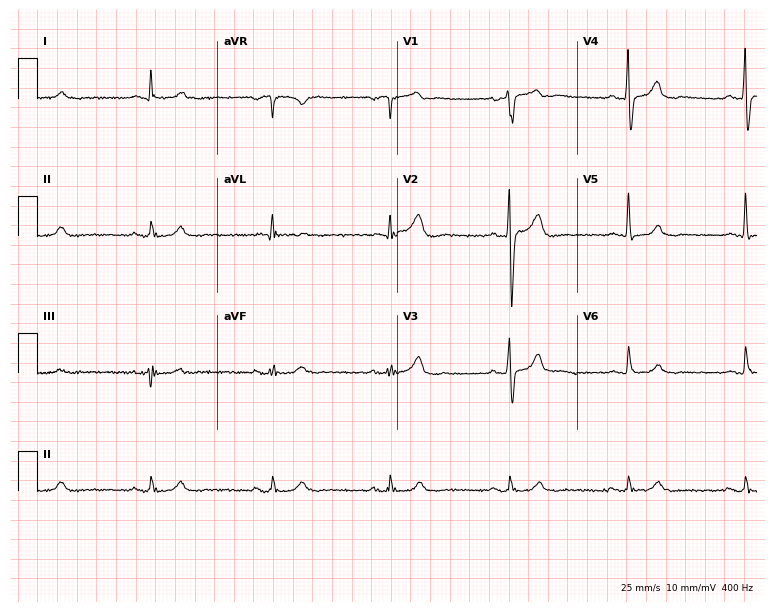
ECG — a 52-year-old man. Findings include sinus bradycardia (a sinus rate of 50 beats per minute or less).